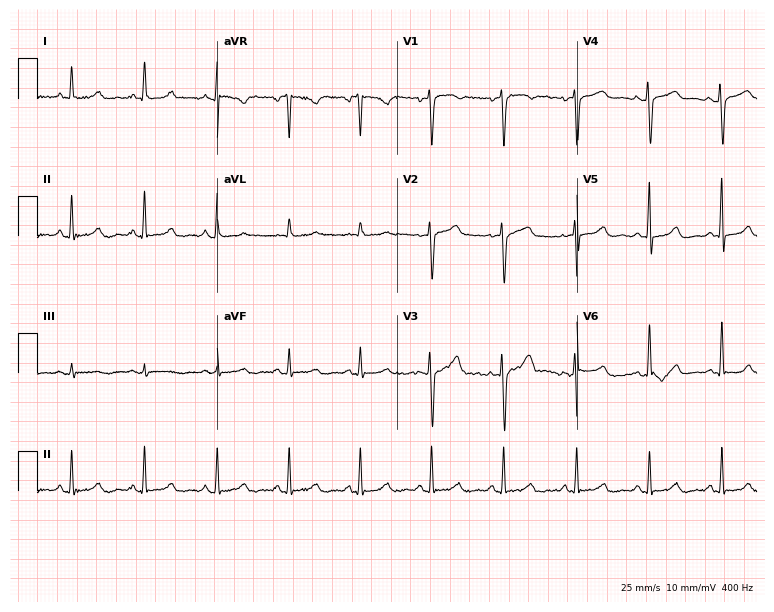
12-lead ECG (7.3-second recording at 400 Hz) from a 60-year-old female patient. Labelled as a normal ECG.